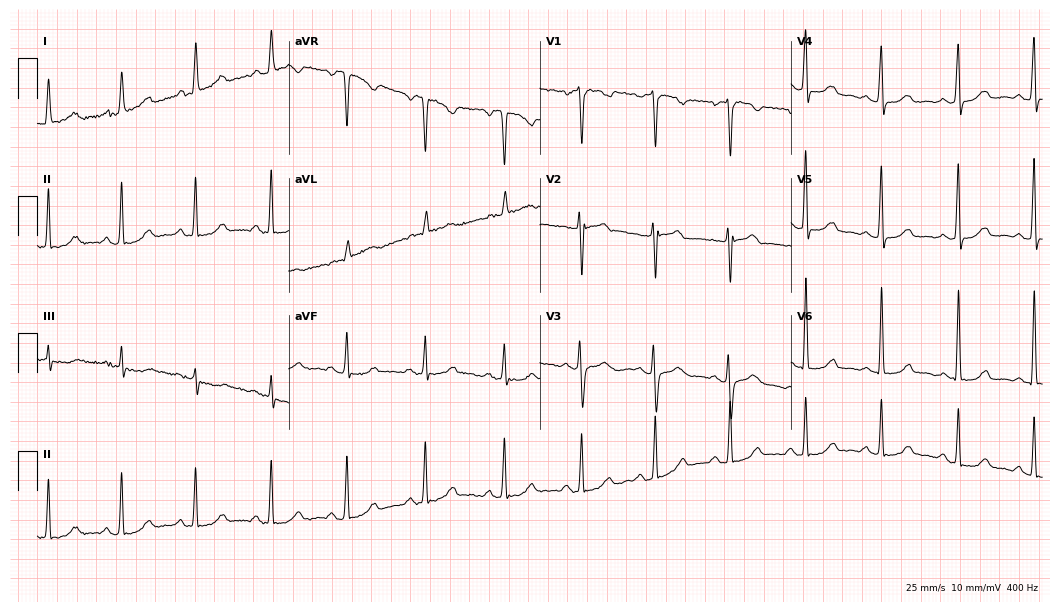
ECG (10.2-second recording at 400 Hz) — a woman, 58 years old. Labelled as a normal ECG.